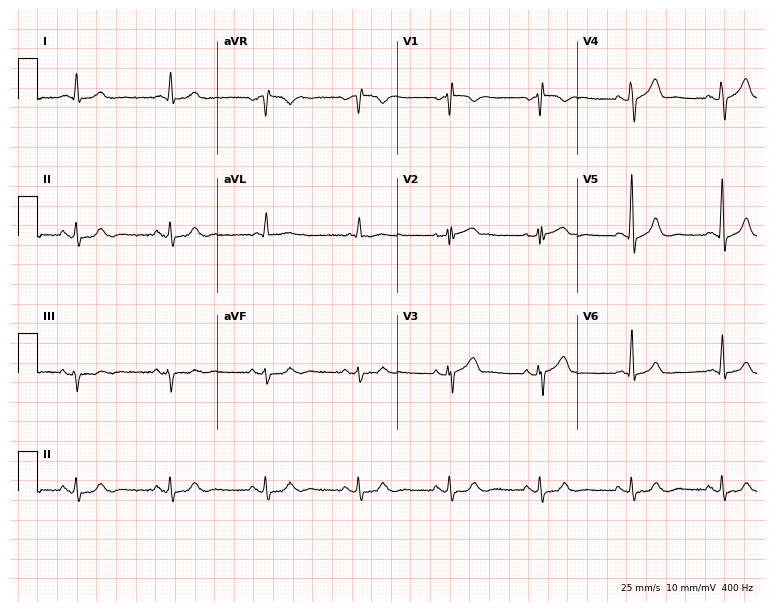
Standard 12-lead ECG recorded from a male patient, 82 years old (7.3-second recording at 400 Hz). Read as a normal ECG.